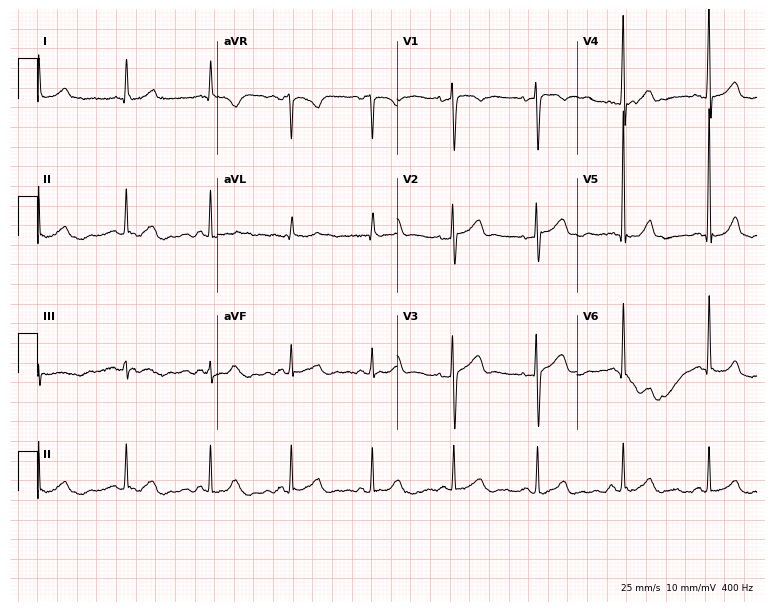
ECG (7.3-second recording at 400 Hz) — a woman, 52 years old. Screened for six findings — first-degree AV block, right bundle branch block (RBBB), left bundle branch block (LBBB), sinus bradycardia, atrial fibrillation (AF), sinus tachycardia — none is recorded.